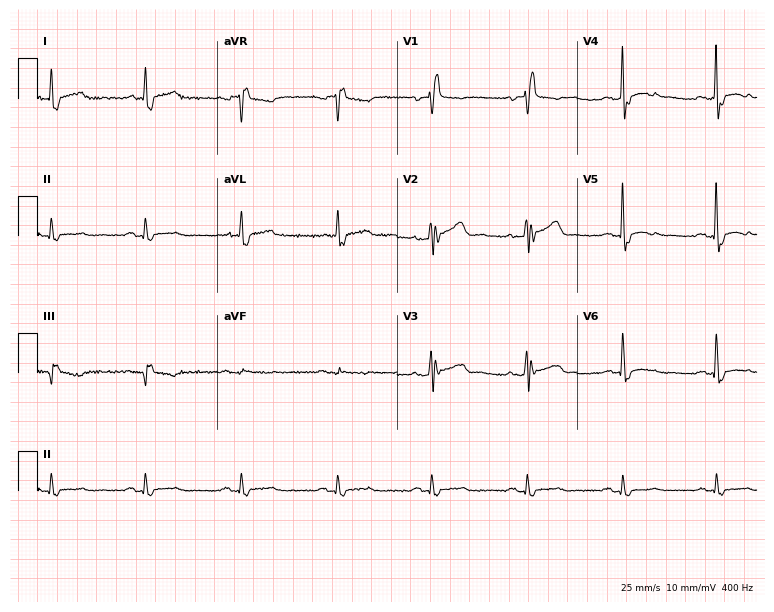
Resting 12-lead electrocardiogram (7.3-second recording at 400 Hz). Patient: a male, 48 years old. The tracing shows right bundle branch block.